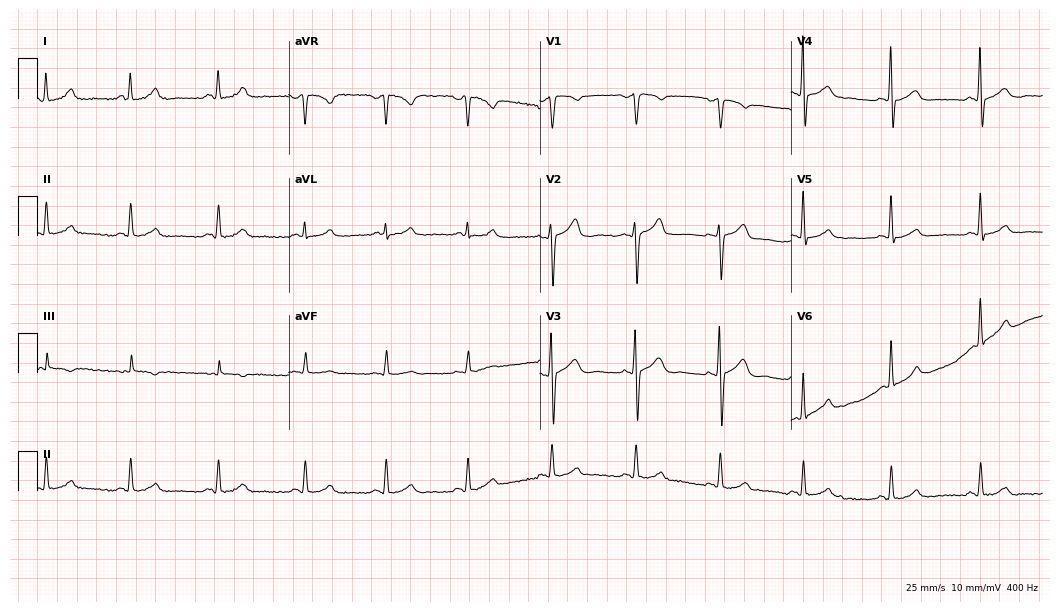
Electrocardiogram (10.2-second recording at 400 Hz), a male, 45 years old. Overall reading on record: normal ECG.